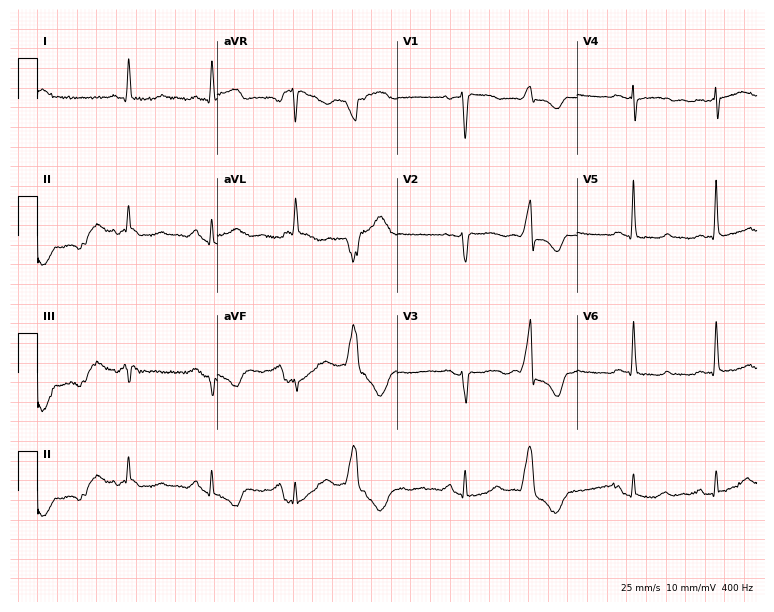
Standard 12-lead ECG recorded from a female, 58 years old. None of these six findings is recorded: first-degree AV block, right bundle branch block (RBBB), left bundle branch block (LBBB), sinus bradycardia, atrial fibrillation (AF), sinus tachycardia.